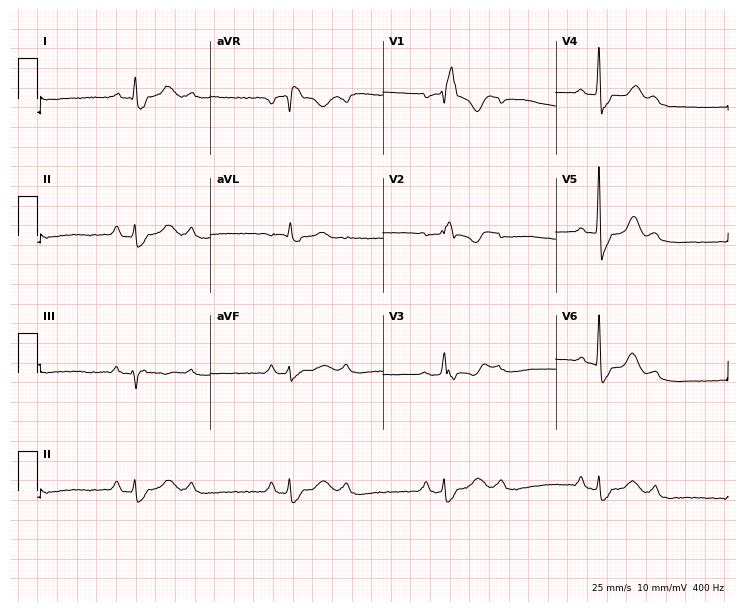
12-lead ECG from a 63-year-old male patient. Findings include right bundle branch block.